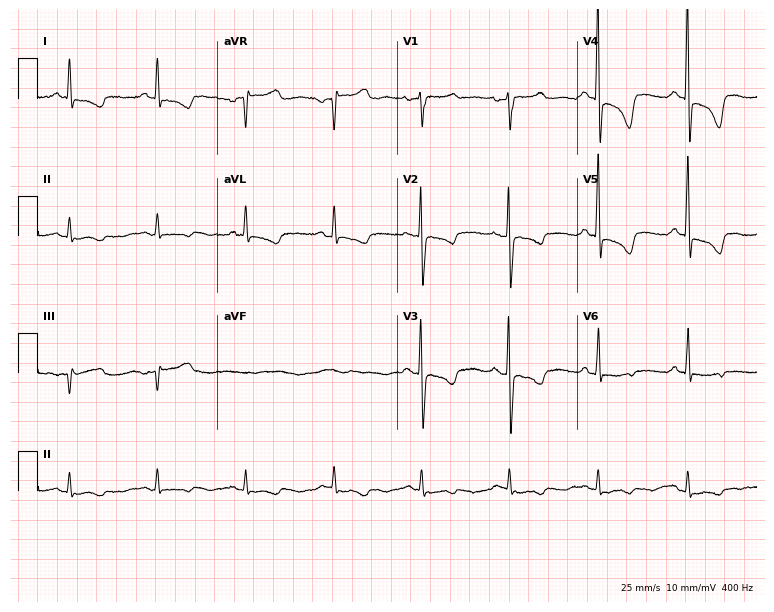
Resting 12-lead electrocardiogram. Patient: a 68-year-old woman. Read as a normal ECG.